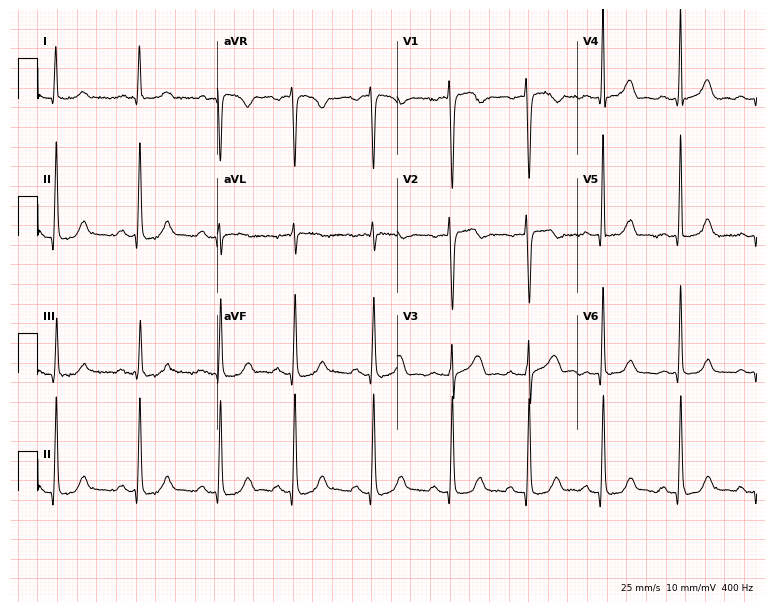
Resting 12-lead electrocardiogram (7.3-second recording at 400 Hz). Patient: a woman, 43 years old. Read as a normal ECG.